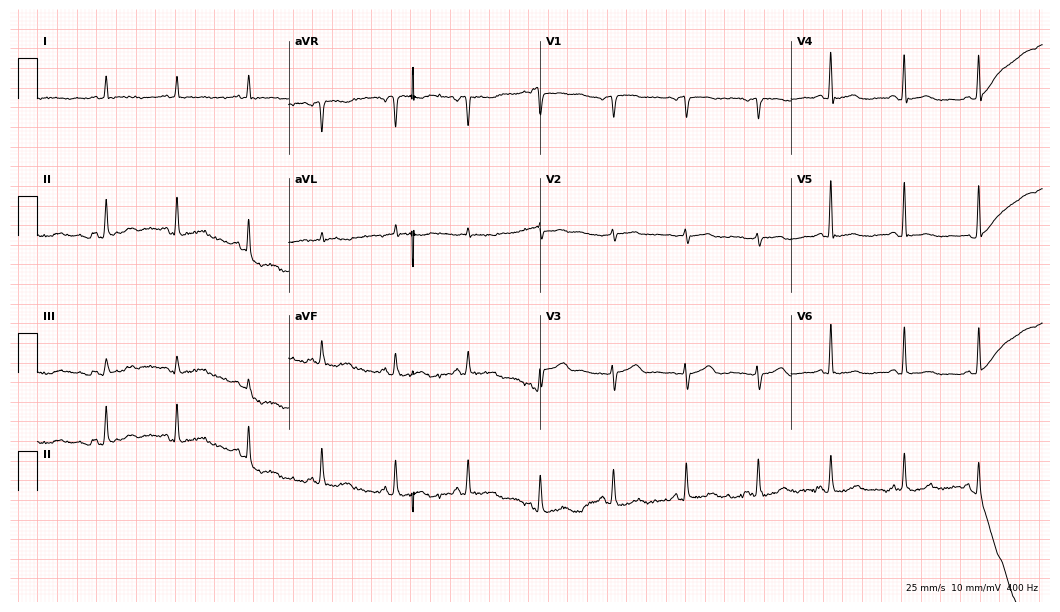
Electrocardiogram, a woman, 71 years old. Of the six screened findings (first-degree AV block, right bundle branch block, left bundle branch block, sinus bradycardia, atrial fibrillation, sinus tachycardia), none is recorded. Other findings, if any, are not listed.